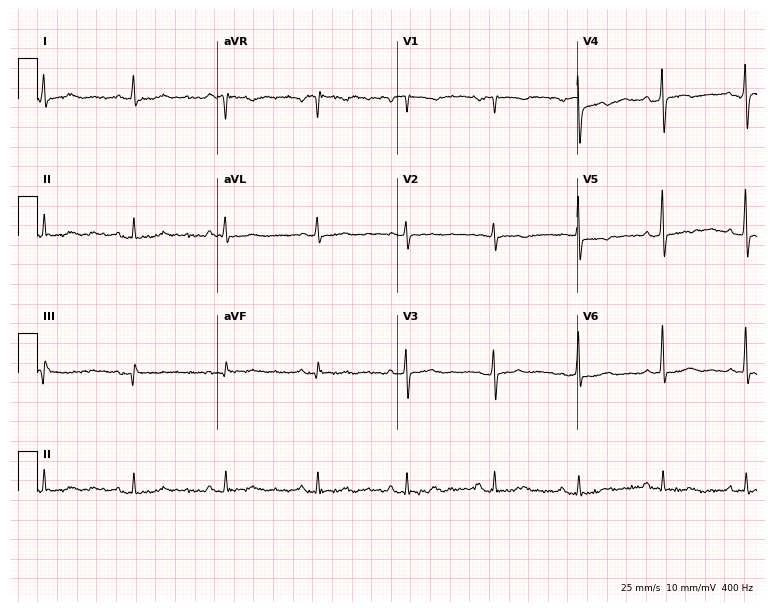
Electrocardiogram (7.3-second recording at 400 Hz), a 59-year-old woman. Of the six screened findings (first-degree AV block, right bundle branch block, left bundle branch block, sinus bradycardia, atrial fibrillation, sinus tachycardia), none is recorded. Only these six findings were labelled.